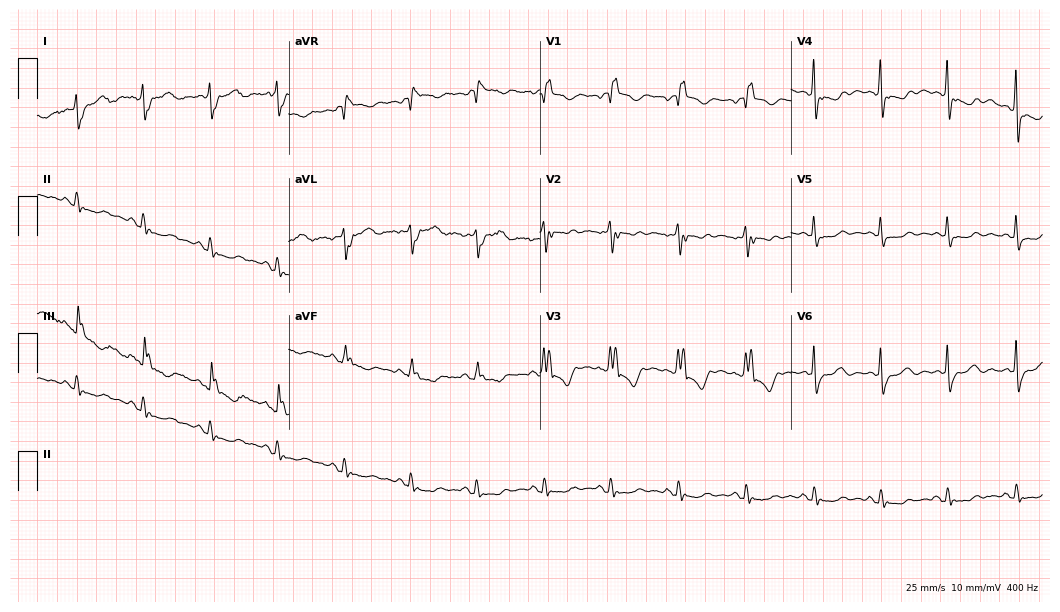
Standard 12-lead ECG recorded from an 80-year-old female patient (10.2-second recording at 400 Hz). The tracing shows right bundle branch block (RBBB).